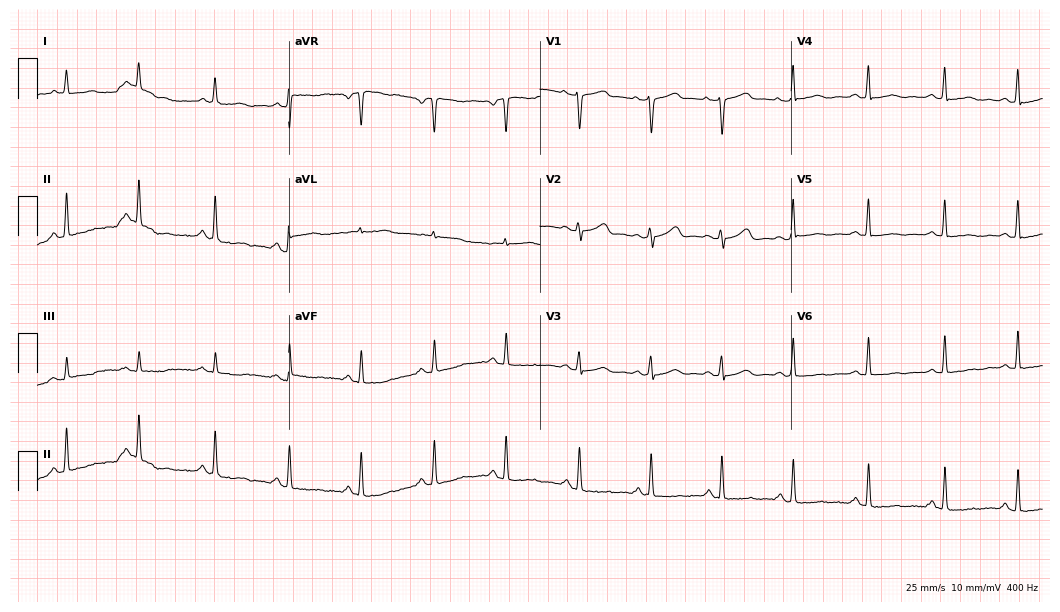
Electrocardiogram (10.2-second recording at 400 Hz), a female, 49 years old. Of the six screened findings (first-degree AV block, right bundle branch block (RBBB), left bundle branch block (LBBB), sinus bradycardia, atrial fibrillation (AF), sinus tachycardia), none is recorded.